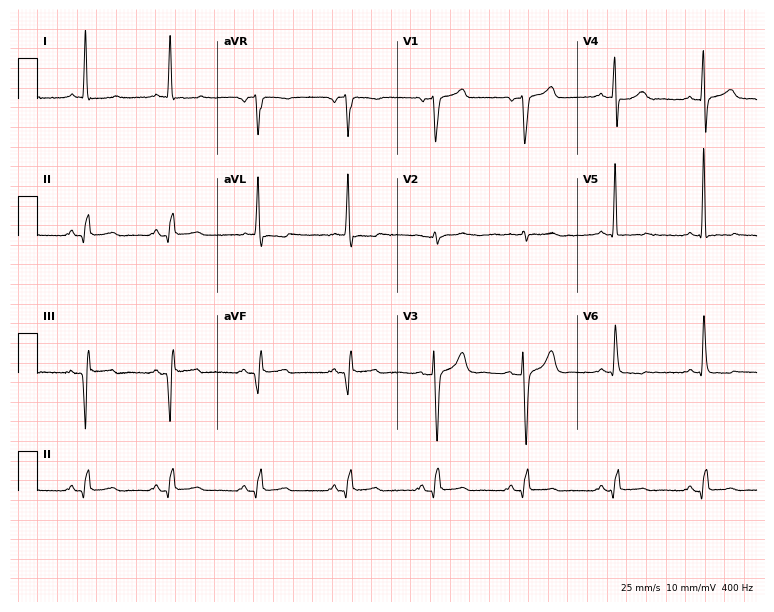
12-lead ECG from a 59-year-old man (7.3-second recording at 400 Hz). No first-degree AV block, right bundle branch block (RBBB), left bundle branch block (LBBB), sinus bradycardia, atrial fibrillation (AF) or sinus tachycardia recorded for this tracing.